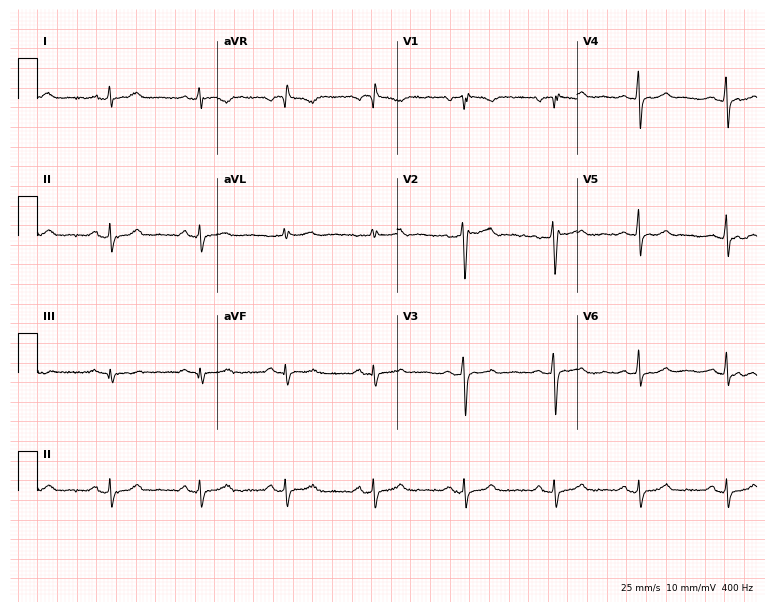
Resting 12-lead electrocardiogram. Patient: a 27-year-old female. None of these six findings is recorded: first-degree AV block, right bundle branch block, left bundle branch block, sinus bradycardia, atrial fibrillation, sinus tachycardia. Other findings, if any, are not listed.